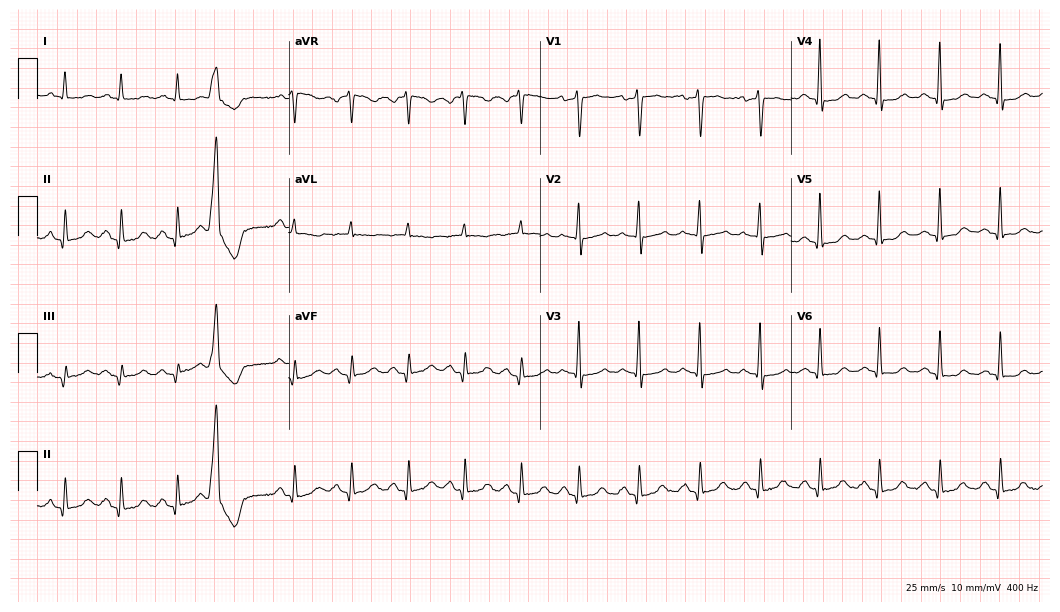
12-lead ECG (10.2-second recording at 400 Hz) from a female, 53 years old. Findings include sinus tachycardia (a sinus rate of 100 beats per minute or more).